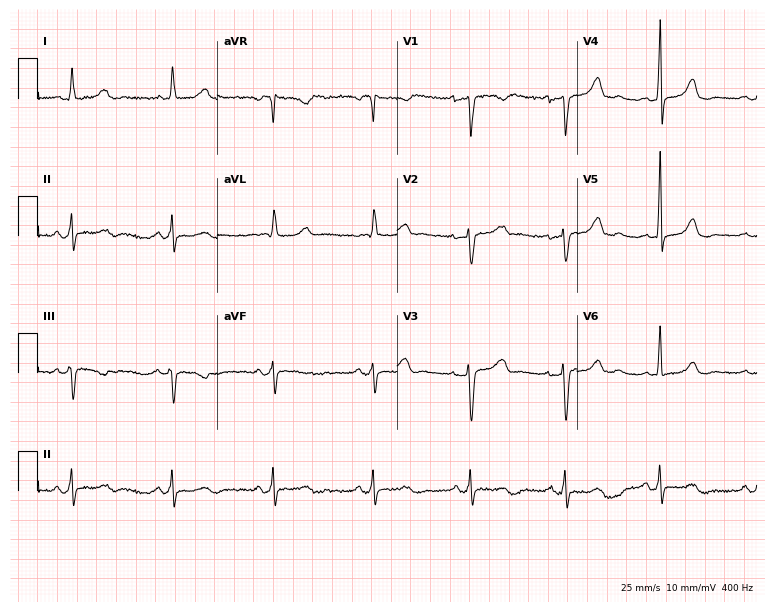
12-lead ECG from a female, 40 years old. No first-degree AV block, right bundle branch block, left bundle branch block, sinus bradycardia, atrial fibrillation or sinus tachycardia recorded for this tracing.